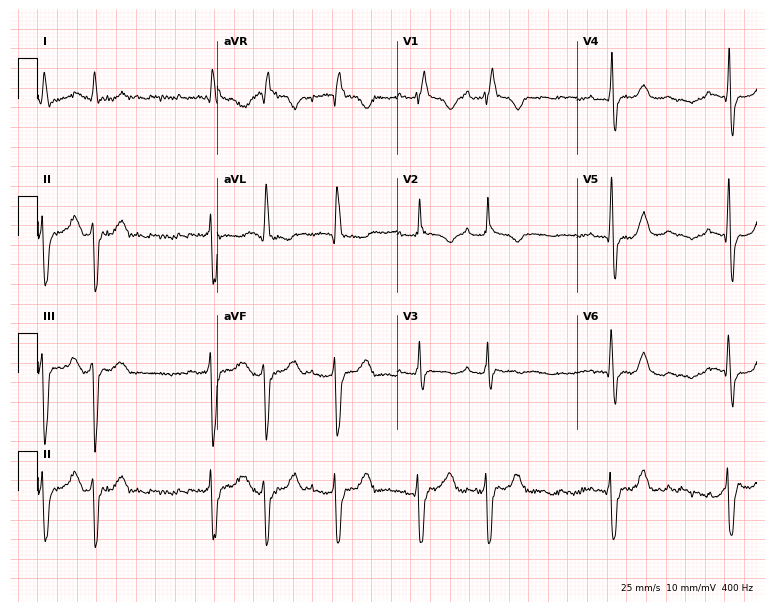
Electrocardiogram, a 79-year-old woman. Interpretation includes first-degree AV block, right bundle branch block.